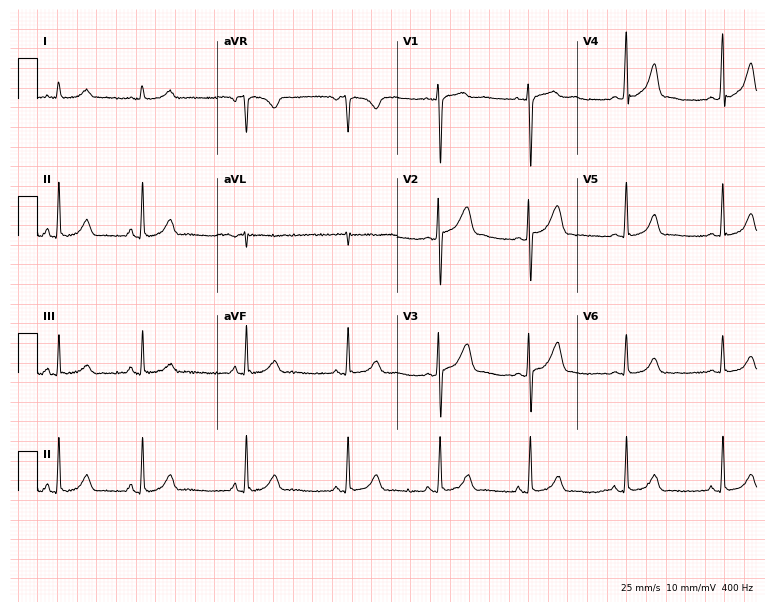
ECG — a female patient, 24 years old. Labelled as a normal ECG.